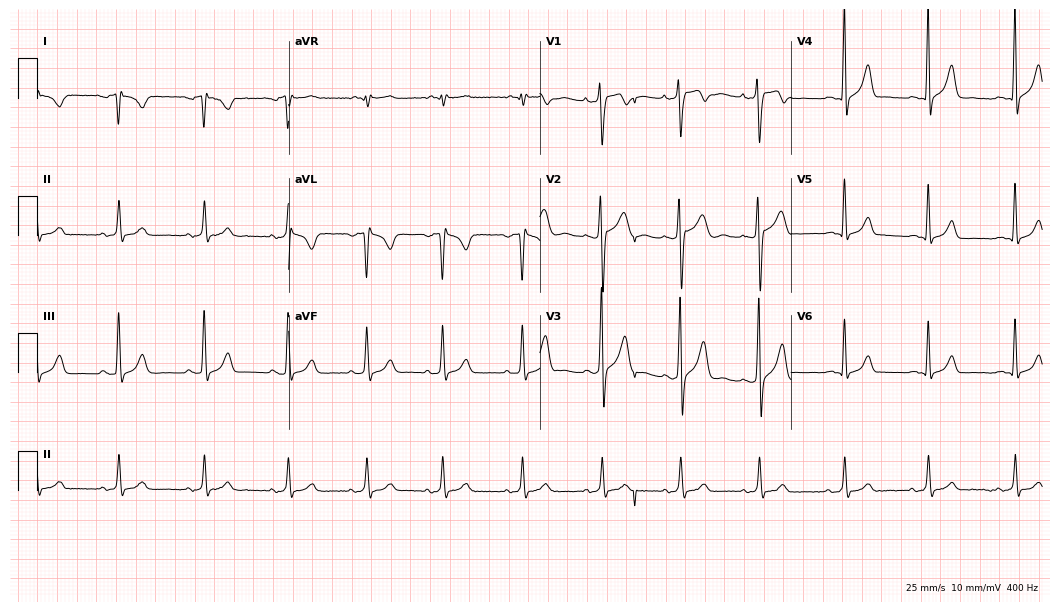
12-lead ECG from a 19-year-old male patient. No first-degree AV block, right bundle branch block, left bundle branch block, sinus bradycardia, atrial fibrillation or sinus tachycardia recorded for this tracing. Findings outside these six are not listed.